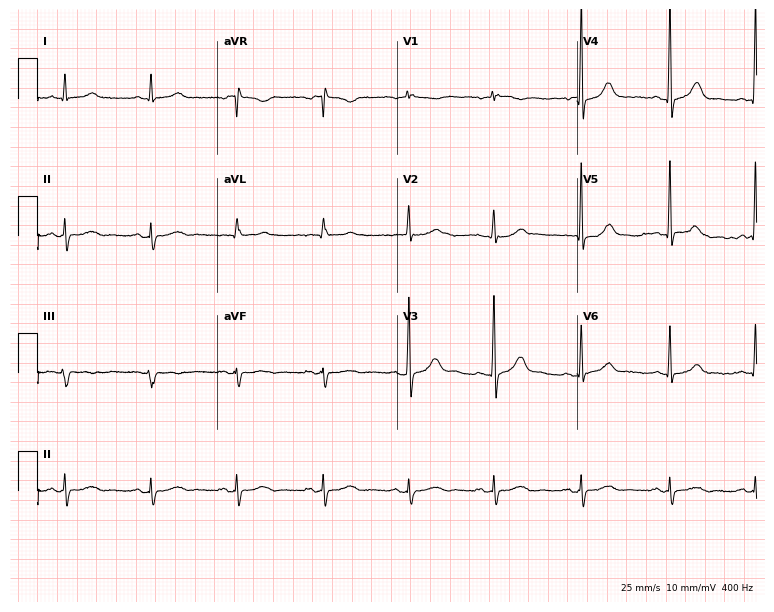
ECG (7.3-second recording at 400 Hz) — a male patient, 55 years old. Labelled as a normal ECG.